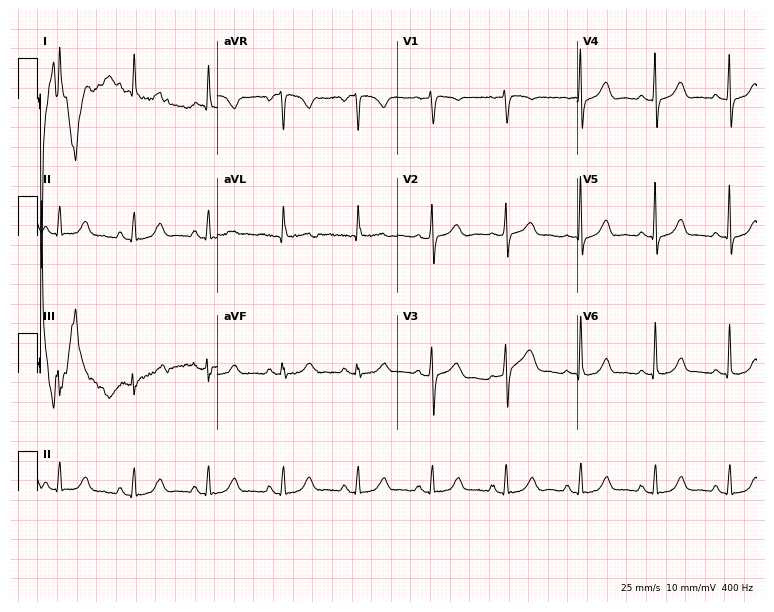
Standard 12-lead ECG recorded from a woman, 72 years old (7.3-second recording at 400 Hz). Read as a normal ECG.